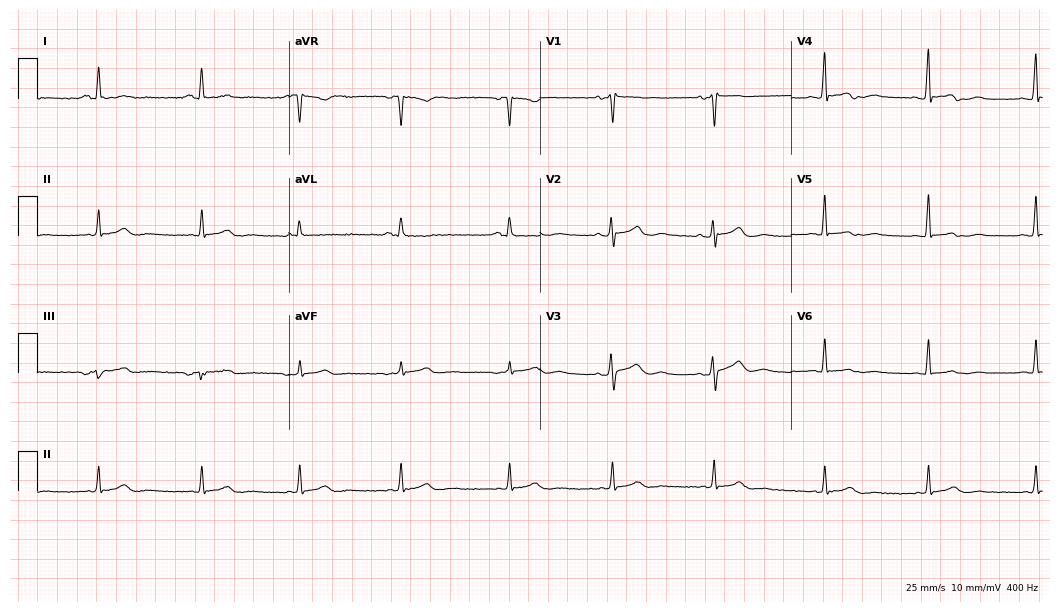
Electrocardiogram, a woman, 54 years old. Of the six screened findings (first-degree AV block, right bundle branch block (RBBB), left bundle branch block (LBBB), sinus bradycardia, atrial fibrillation (AF), sinus tachycardia), none is recorded. Other findings, if any, are not listed.